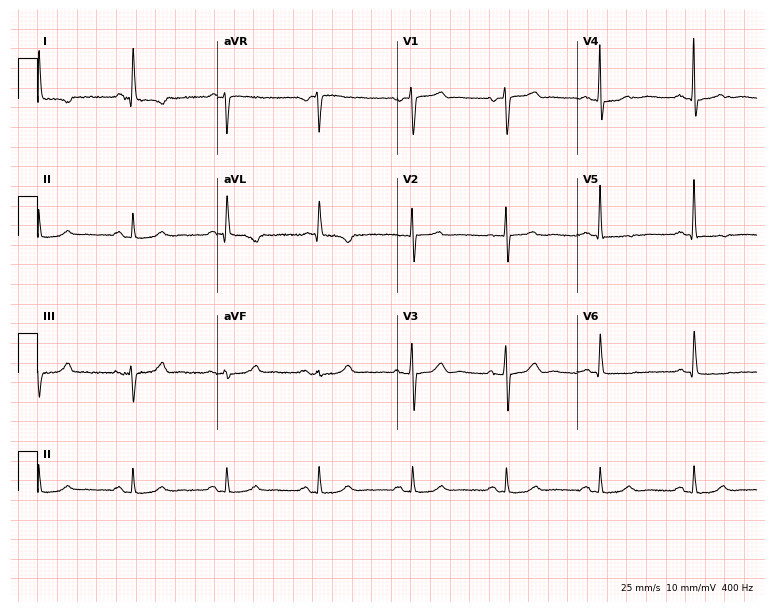
ECG (7.3-second recording at 400 Hz) — a 67-year-old woman. Screened for six findings — first-degree AV block, right bundle branch block (RBBB), left bundle branch block (LBBB), sinus bradycardia, atrial fibrillation (AF), sinus tachycardia — none is recorded.